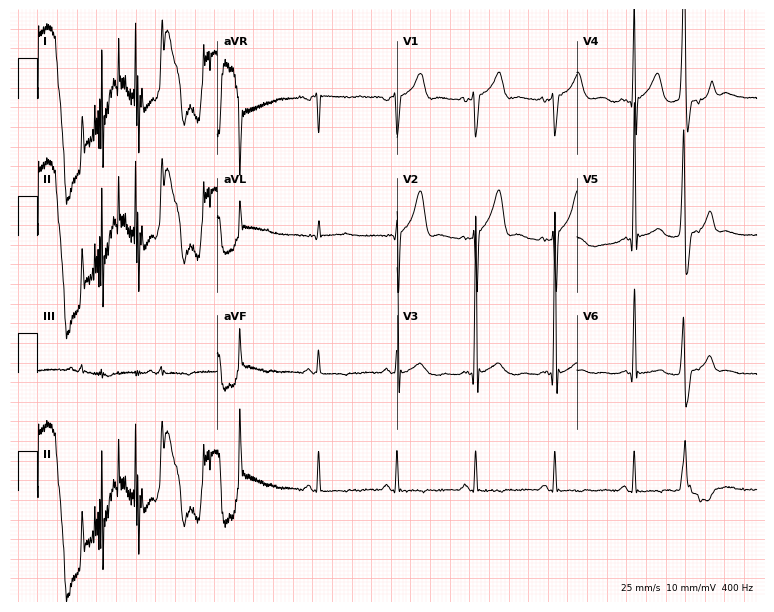
ECG — a man, 70 years old. Screened for six findings — first-degree AV block, right bundle branch block, left bundle branch block, sinus bradycardia, atrial fibrillation, sinus tachycardia — none is recorded. Other findings, if any, are not listed.